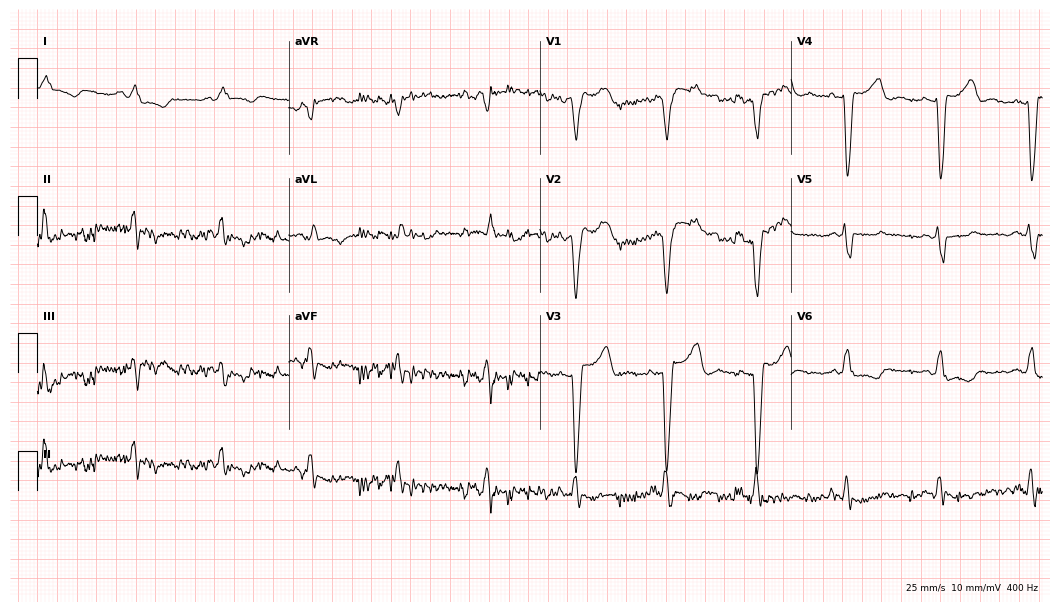
Resting 12-lead electrocardiogram. Patient: a male, 76 years old. None of these six findings is recorded: first-degree AV block, right bundle branch block, left bundle branch block, sinus bradycardia, atrial fibrillation, sinus tachycardia. Other findings, if any, are not listed.